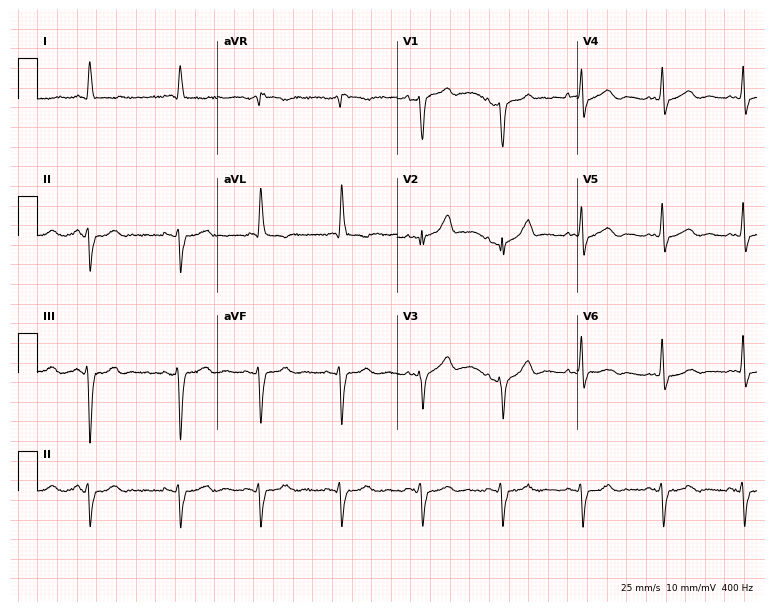
12-lead ECG from a male, 80 years old. Screened for six findings — first-degree AV block, right bundle branch block (RBBB), left bundle branch block (LBBB), sinus bradycardia, atrial fibrillation (AF), sinus tachycardia — none is recorded.